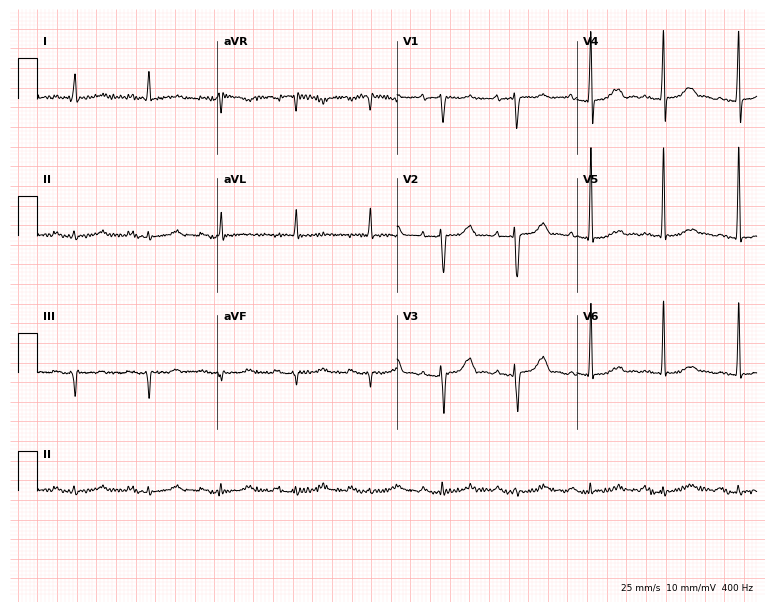
Resting 12-lead electrocardiogram (7.3-second recording at 400 Hz). Patient: a woman, 77 years old. None of these six findings is recorded: first-degree AV block, right bundle branch block, left bundle branch block, sinus bradycardia, atrial fibrillation, sinus tachycardia.